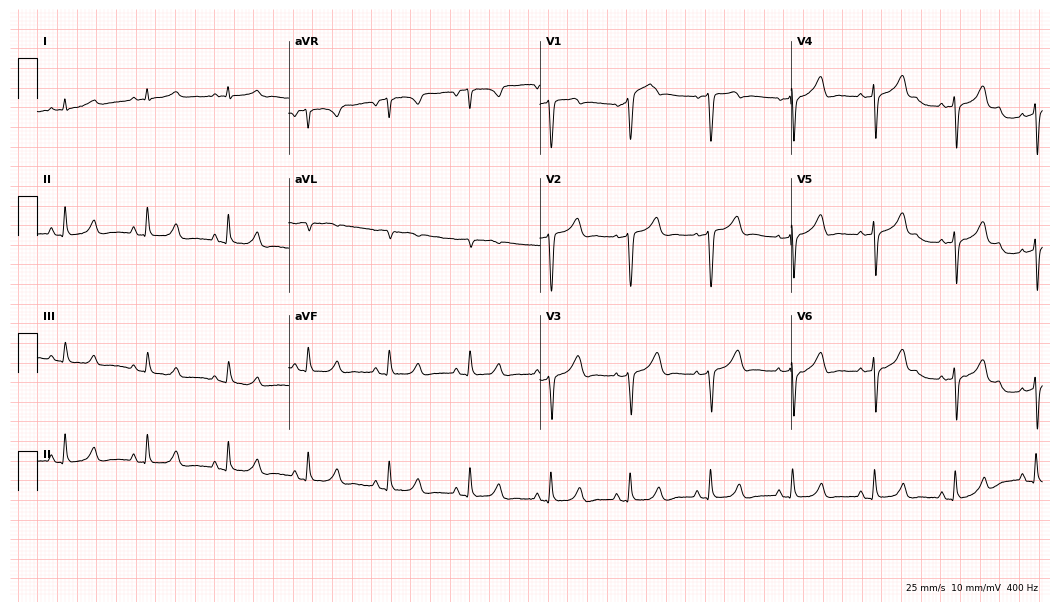
12-lead ECG from a male patient, 38 years old (10.2-second recording at 400 Hz). No first-degree AV block, right bundle branch block, left bundle branch block, sinus bradycardia, atrial fibrillation or sinus tachycardia recorded for this tracing. Other findings, if any, are not listed.